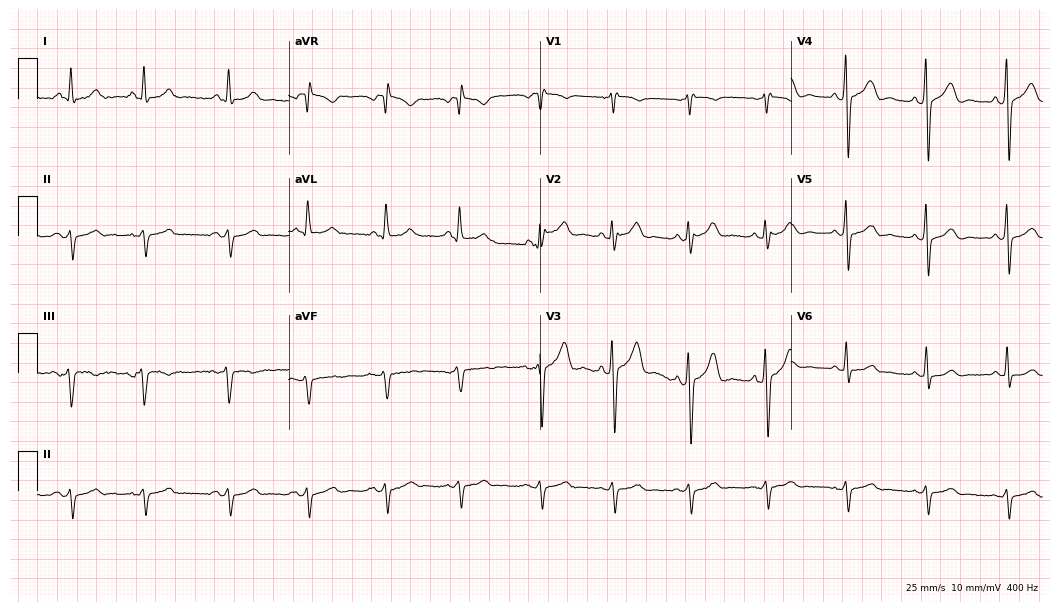
Standard 12-lead ECG recorded from a 51-year-old male patient (10.2-second recording at 400 Hz). None of these six findings is recorded: first-degree AV block, right bundle branch block, left bundle branch block, sinus bradycardia, atrial fibrillation, sinus tachycardia.